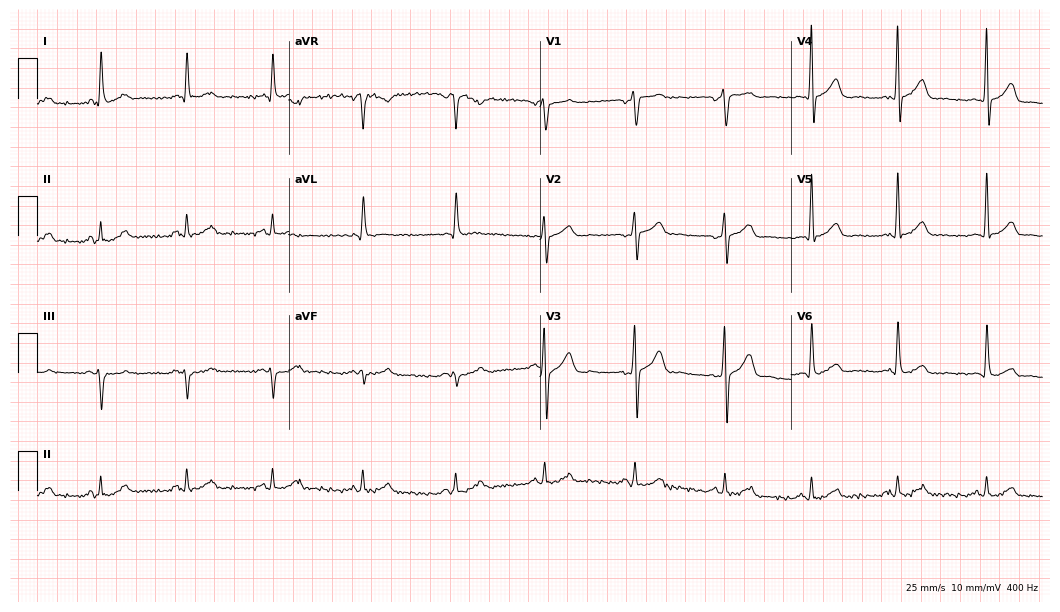
Resting 12-lead electrocardiogram. Patient: a 55-year-old male. Read as a normal ECG.